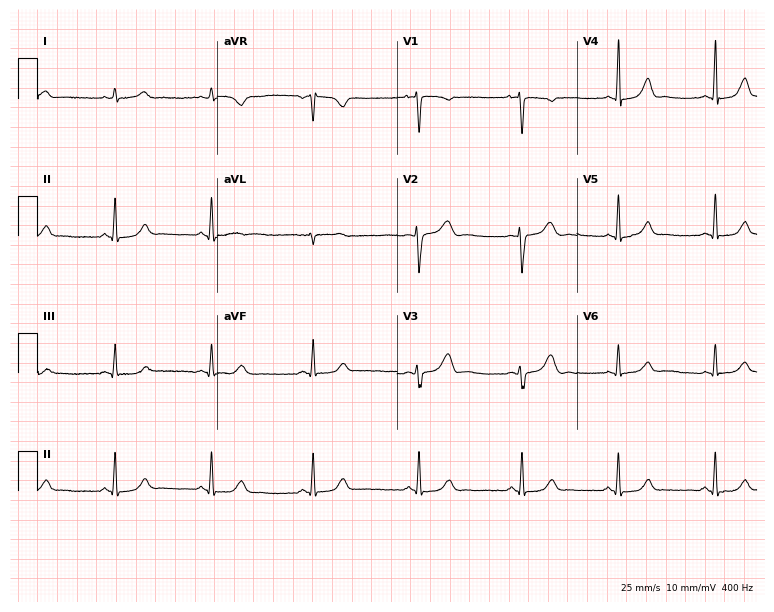
Standard 12-lead ECG recorded from a 31-year-old female patient. Read as a normal ECG.